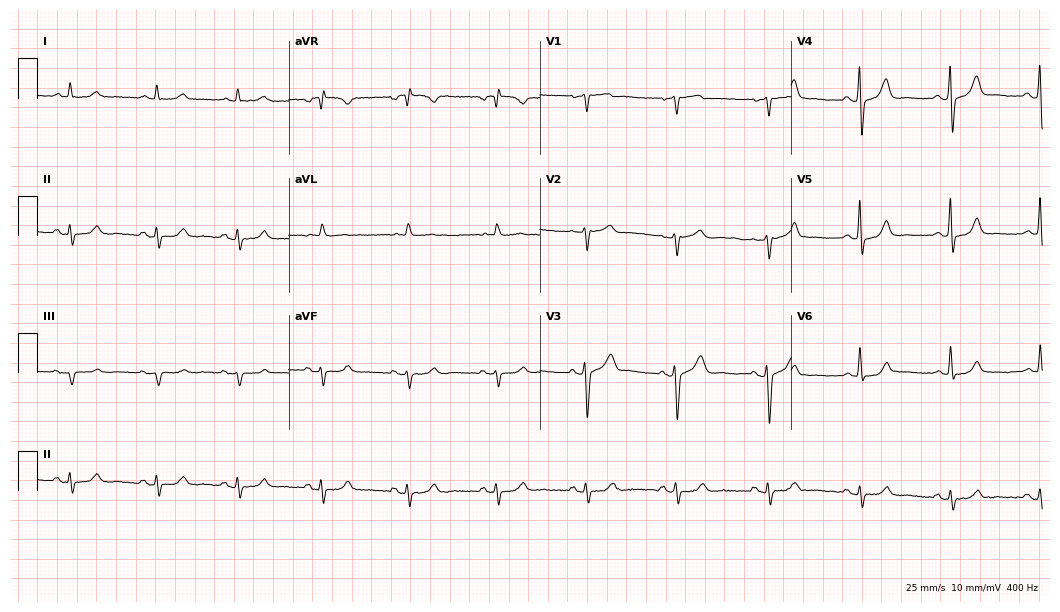
Electrocardiogram, a male, 64 years old. Of the six screened findings (first-degree AV block, right bundle branch block, left bundle branch block, sinus bradycardia, atrial fibrillation, sinus tachycardia), none is recorded. Only these six findings were labelled.